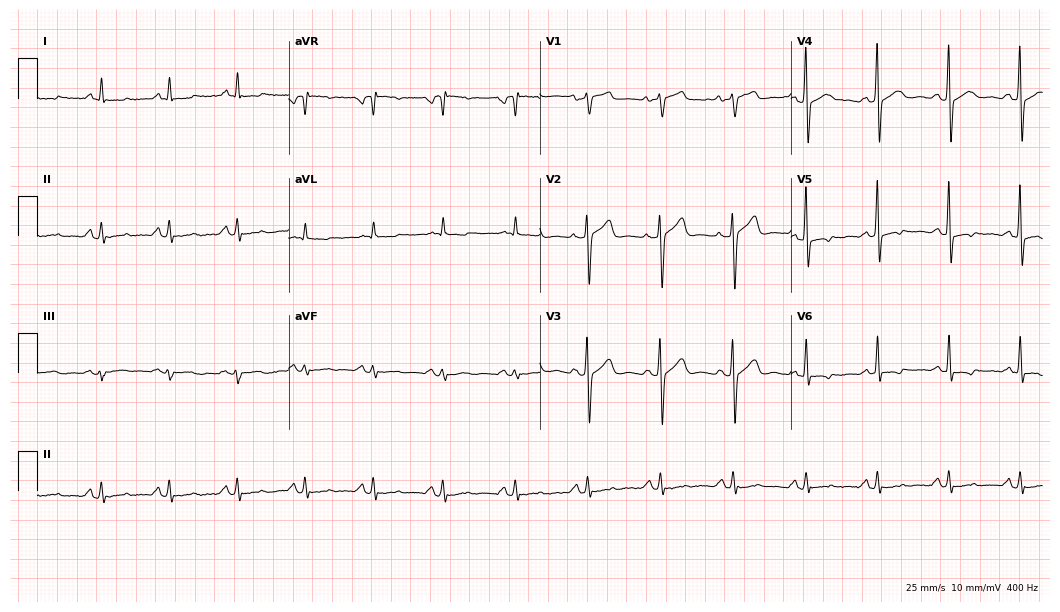
12-lead ECG from a male patient, 49 years old. No first-degree AV block, right bundle branch block (RBBB), left bundle branch block (LBBB), sinus bradycardia, atrial fibrillation (AF) or sinus tachycardia recorded for this tracing. Only these six findings were labelled.